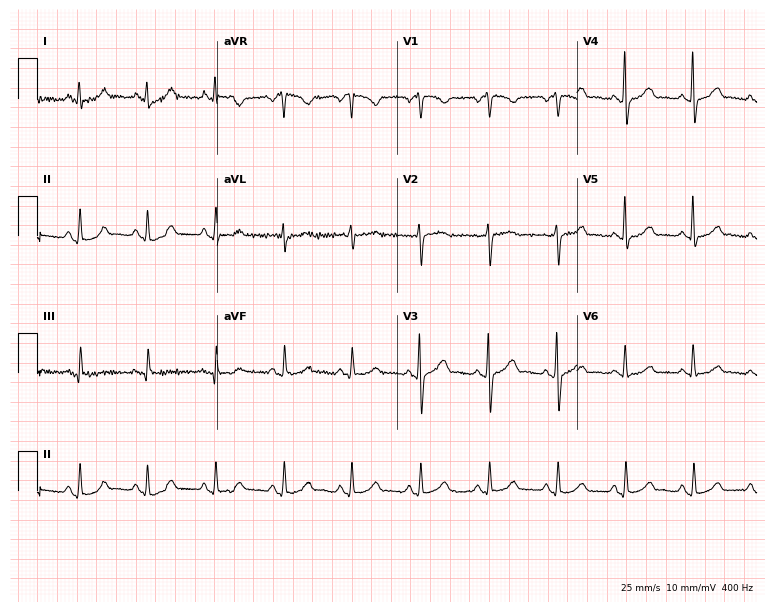
Resting 12-lead electrocardiogram (7.3-second recording at 400 Hz). Patient: a woman, 38 years old. Read as a normal ECG.